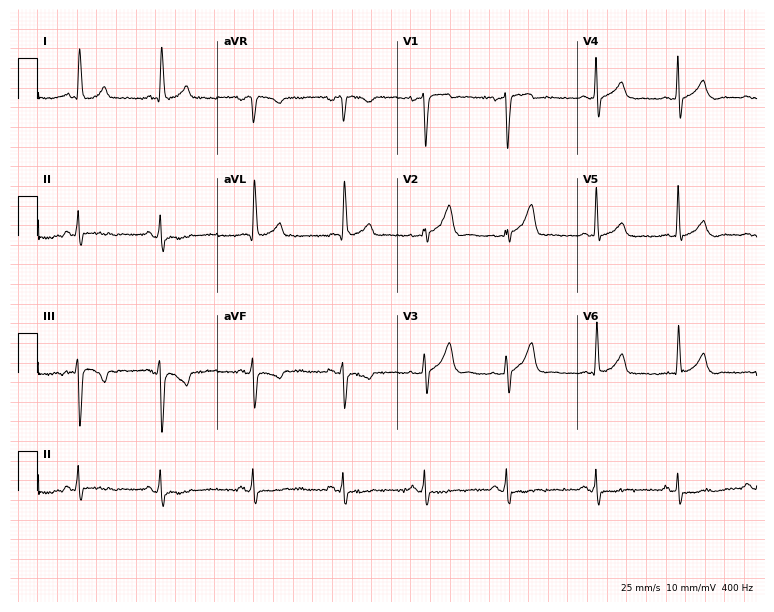
Standard 12-lead ECG recorded from a 73-year-old male patient (7.3-second recording at 400 Hz). Read as a normal ECG.